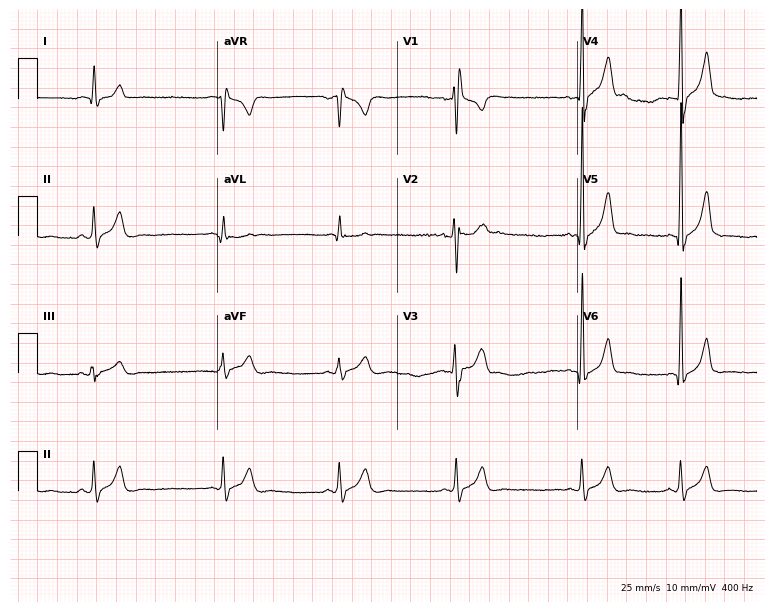
Resting 12-lead electrocardiogram. Patient: a male, 26 years old. None of these six findings is recorded: first-degree AV block, right bundle branch block (RBBB), left bundle branch block (LBBB), sinus bradycardia, atrial fibrillation (AF), sinus tachycardia.